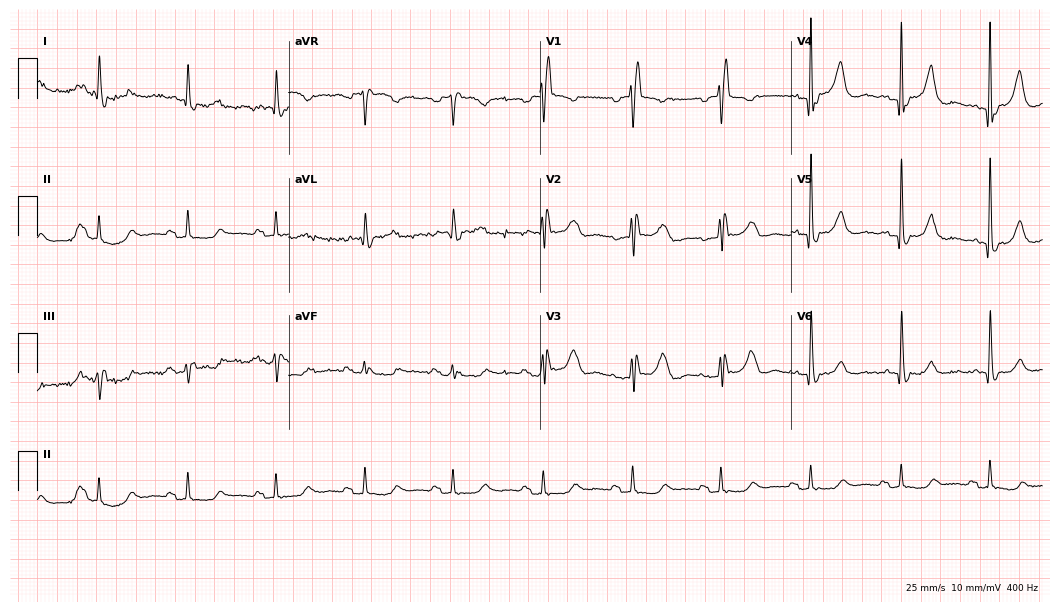
Standard 12-lead ECG recorded from an 84-year-old female patient (10.2-second recording at 400 Hz). The tracing shows right bundle branch block (RBBB).